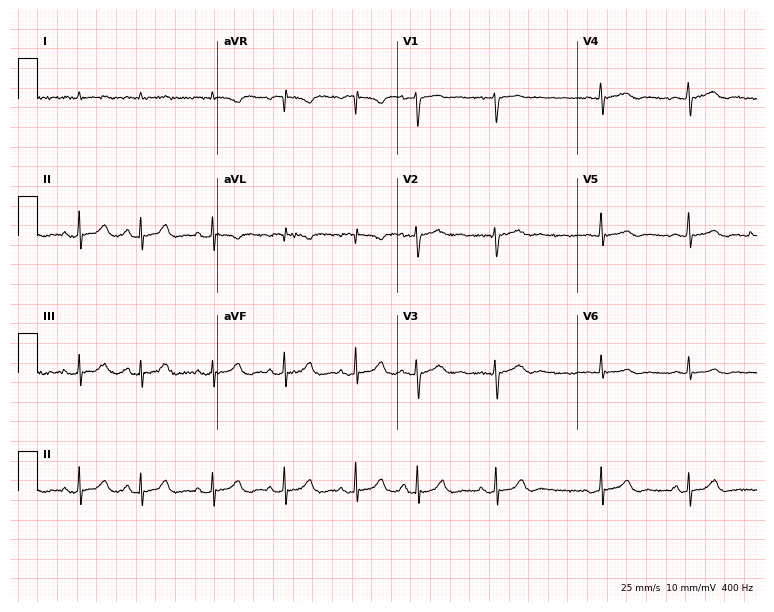
12-lead ECG from an 85-year-old male patient. Screened for six findings — first-degree AV block, right bundle branch block, left bundle branch block, sinus bradycardia, atrial fibrillation, sinus tachycardia — none is recorded. Only these six findings were labelled.